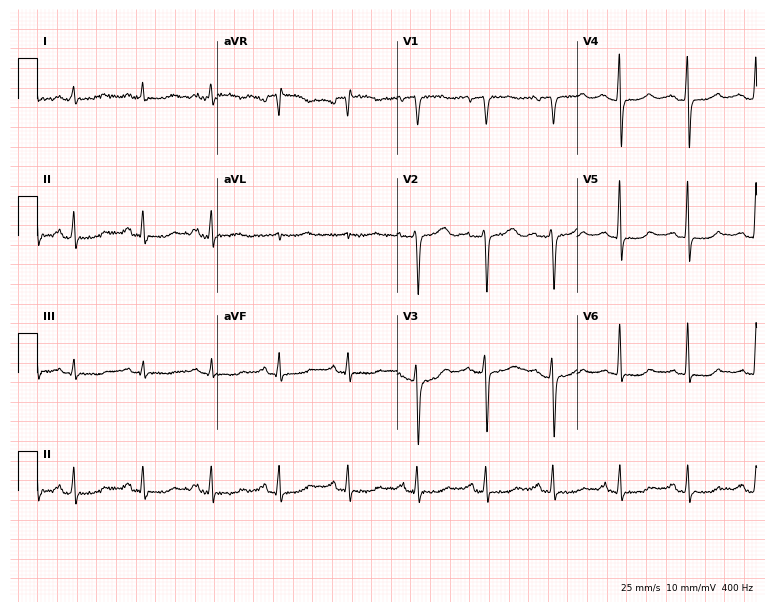
Standard 12-lead ECG recorded from a female, 64 years old (7.3-second recording at 400 Hz). None of these six findings is recorded: first-degree AV block, right bundle branch block (RBBB), left bundle branch block (LBBB), sinus bradycardia, atrial fibrillation (AF), sinus tachycardia.